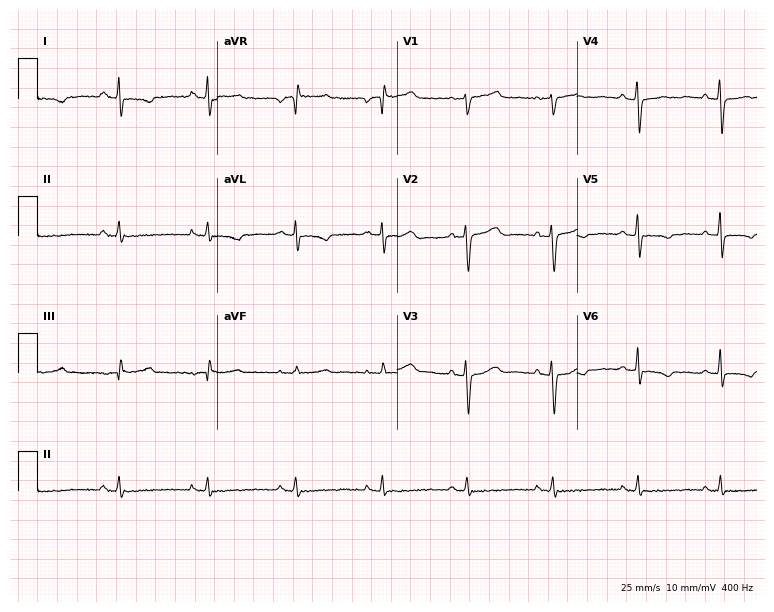
12-lead ECG from a woman, 55 years old (7.3-second recording at 400 Hz). No first-degree AV block, right bundle branch block (RBBB), left bundle branch block (LBBB), sinus bradycardia, atrial fibrillation (AF) or sinus tachycardia recorded for this tracing. Only these six findings were labelled.